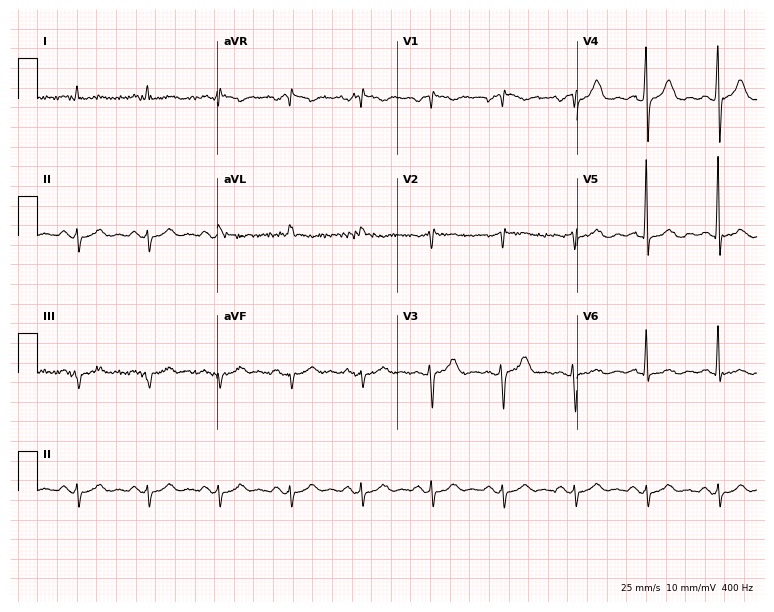
Standard 12-lead ECG recorded from an 82-year-old male patient (7.3-second recording at 400 Hz). None of these six findings is recorded: first-degree AV block, right bundle branch block, left bundle branch block, sinus bradycardia, atrial fibrillation, sinus tachycardia. Only these six findings were labelled.